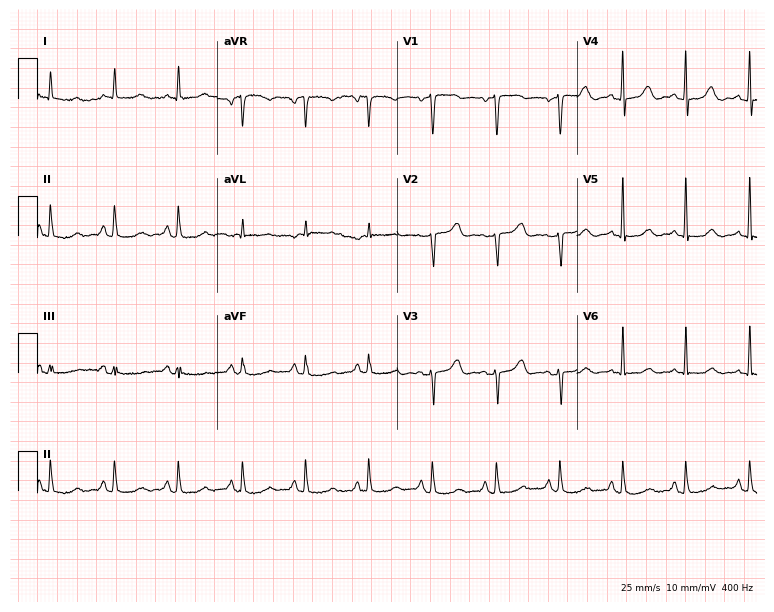
Electrocardiogram, a woman, 74 years old. Of the six screened findings (first-degree AV block, right bundle branch block, left bundle branch block, sinus bradycardia, atrial fibrillation, sinus tachycardia), none is recorded. Only these six findings were labelled.